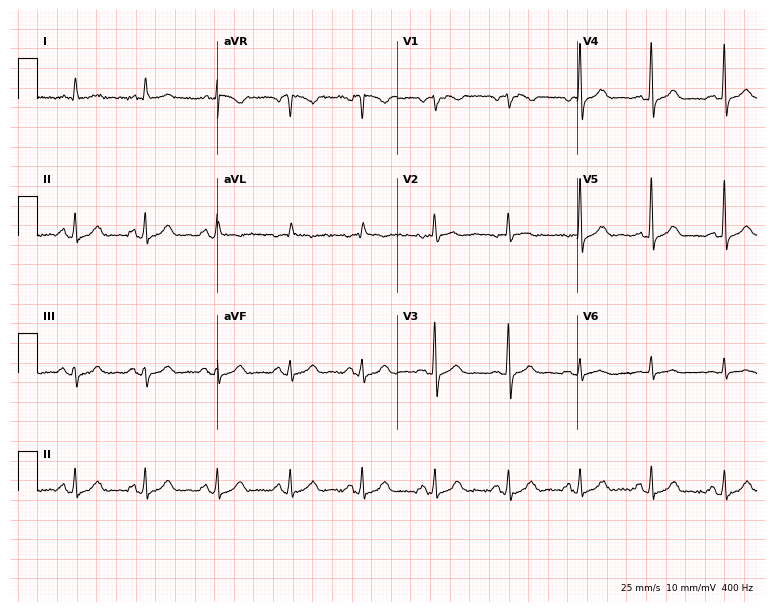
Standard 12-lead ECG recorded from a 71-year-old woman (7.3-second recording at 400 Hz). None of these six findings is recorded: first-degree AV block, right bundle branch block (RBBB), left bundle branch block (LBBB), sinus bradycardia, atrial fibrillation (AF), sinus tachycardia. Findings outside these six are not listed.